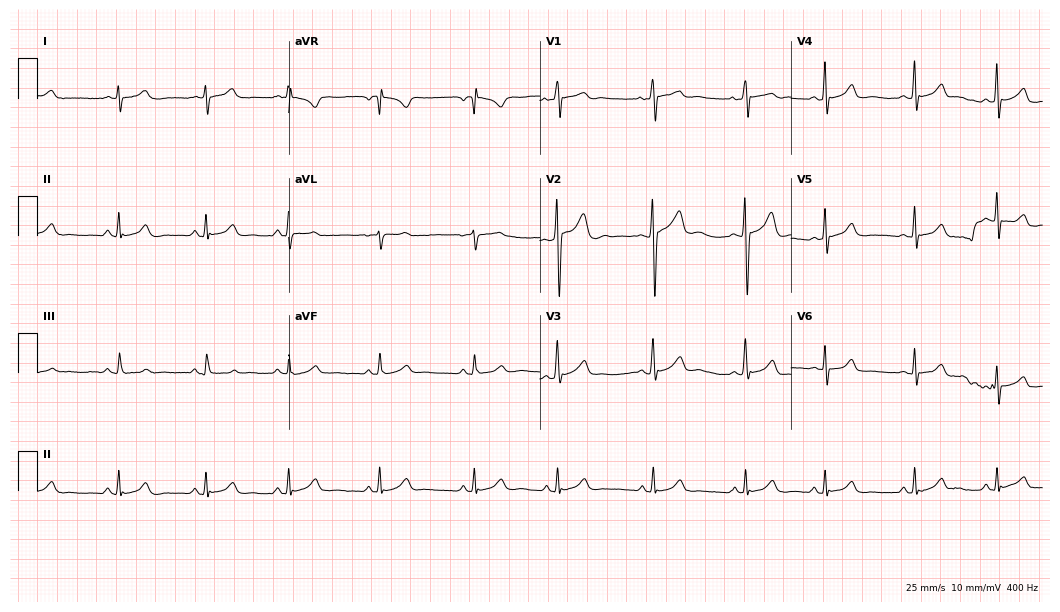
Electrocardiogram (10.2-second recording at 400 Hz), a 17-year-old female. Overall reading on record: normal ECG.